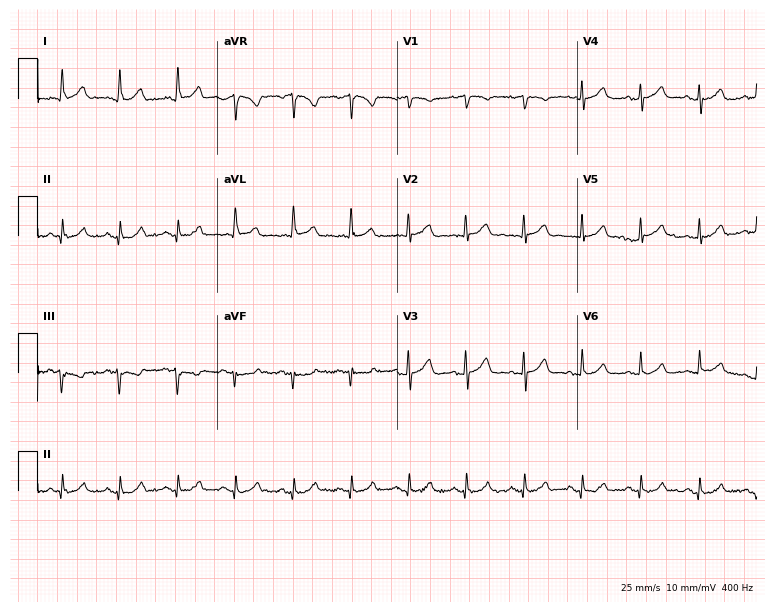
Standard 12-lead ECG recorded from a 67-year-old female patient. The tracing shows sinus tachycardia (a sinus rate of 100 beats per minute or more).